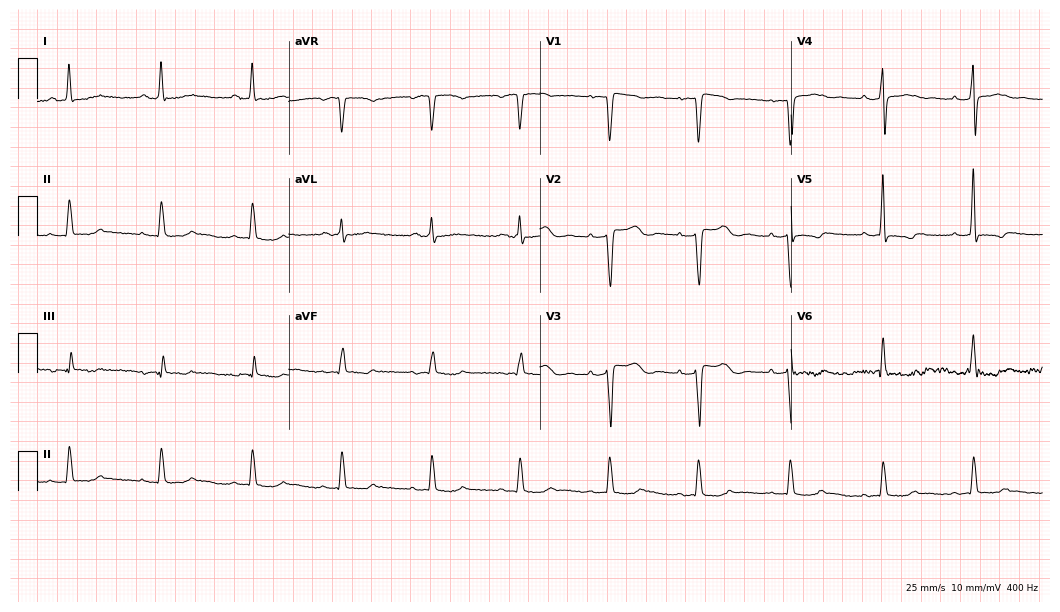
12-lead ECG (10.2-second recording at 400 Hz) from a 64-year-old female. Screened for six findings — first-degree AV block, right bundle branch block, left bundle branch block, sinus bradycardia, atrial fibrillation, sinus tachycardia — none is recorded.